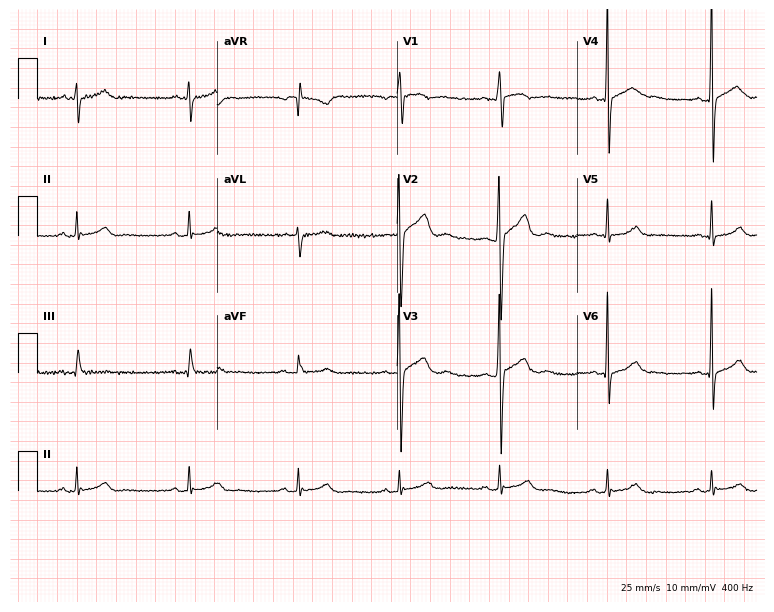
ECG — a man, 23 years old. Screened for six findings — first-degree AV block, right bundle branch block, left bundle branch block, sinus bradycardia, atrial fibrillation, sinus tachycardia — none is recorded.